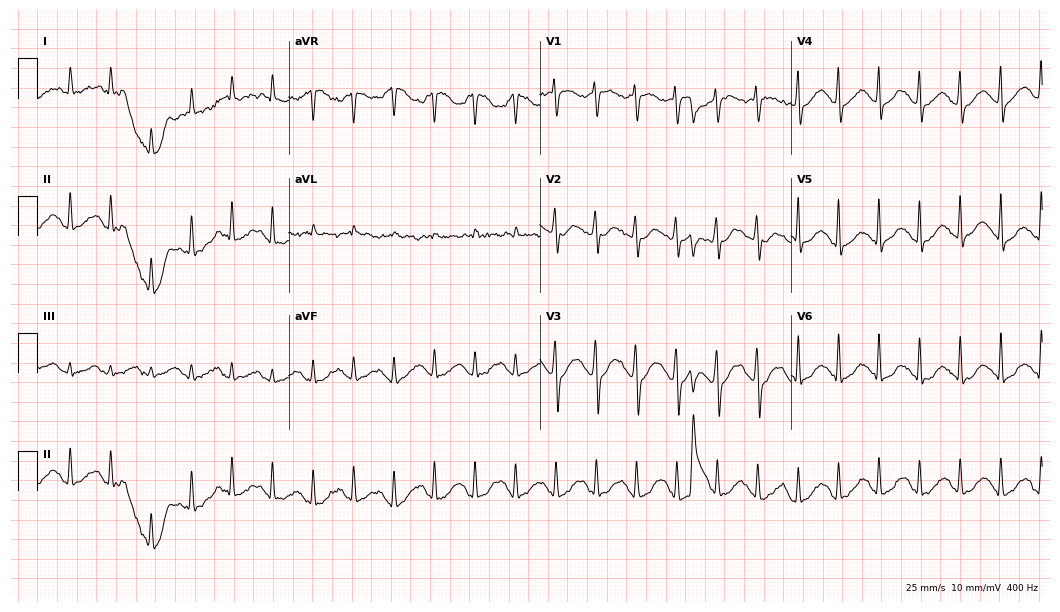
Electrocardiogram, a female, 43 years old. Interpretation includes sinus tachycardia (a sinus rate of 100 beats per minute or more).